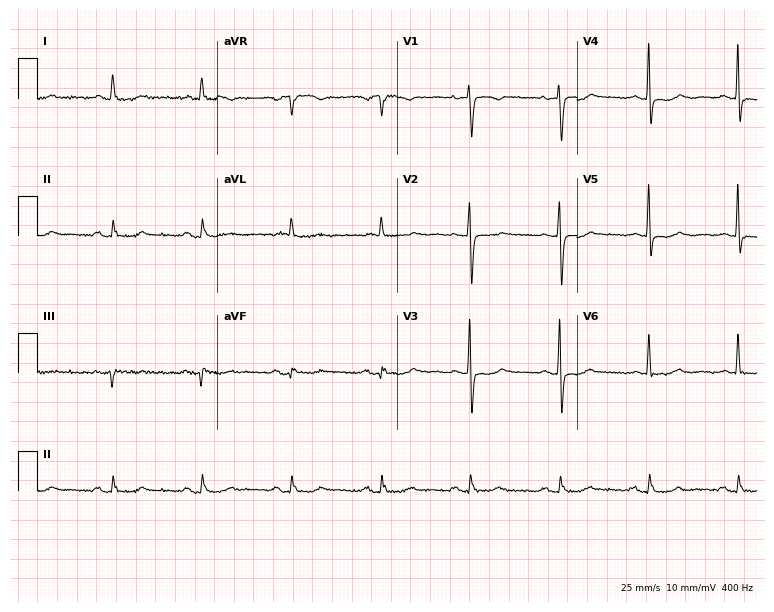
ECG (7.3-second recording at 400 Hz) — an 85-year-old female patient. Labelled as a normal ECG.